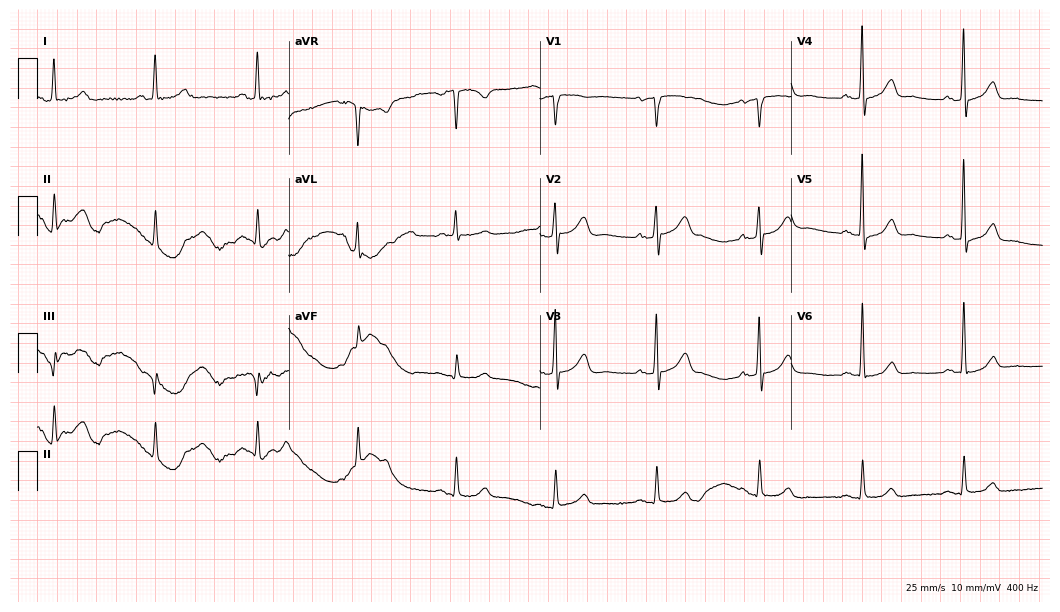
ECG (10.2-second recording at 400 Hz) — a 74-year-old male. Screened for six findings — first-degree AV block, right bundle branch block, left bundle branch block, sinus bradycardia, atrial fibrillation, sinus tachycardia — none is recorded.